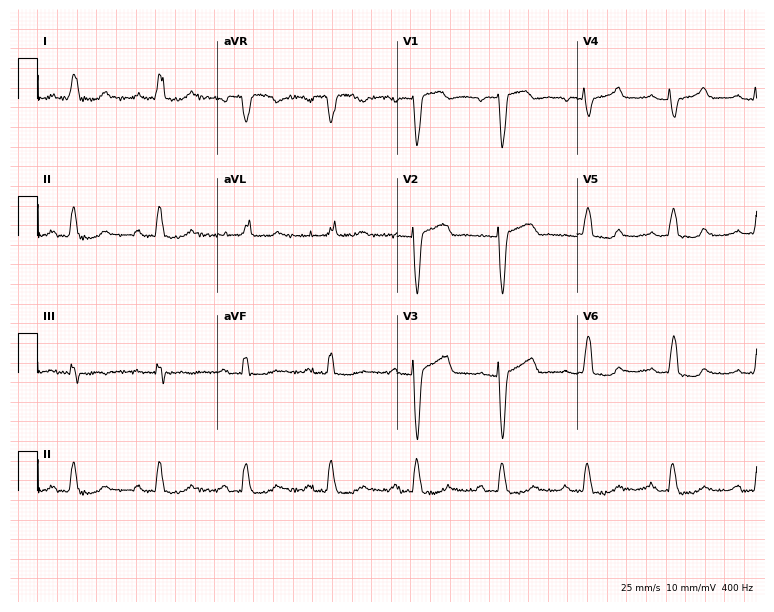
12-lead ECG from a 78-year-old female patient. Findings include first-degree AV block.